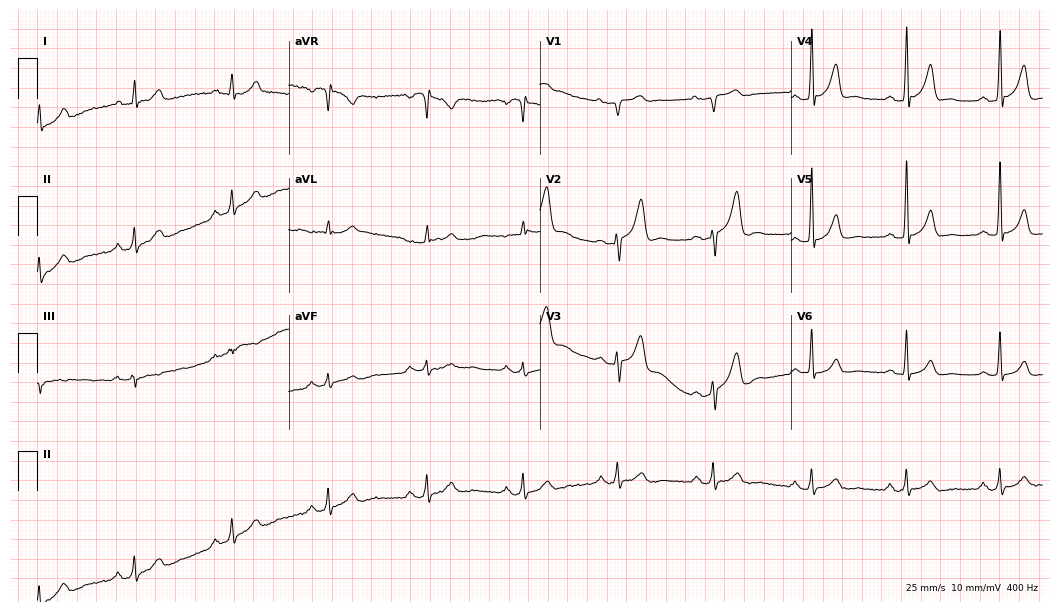
ECG (10.2-second recording at 400 Hz) — a 29-year-old male. Labelled as a normal ECG.